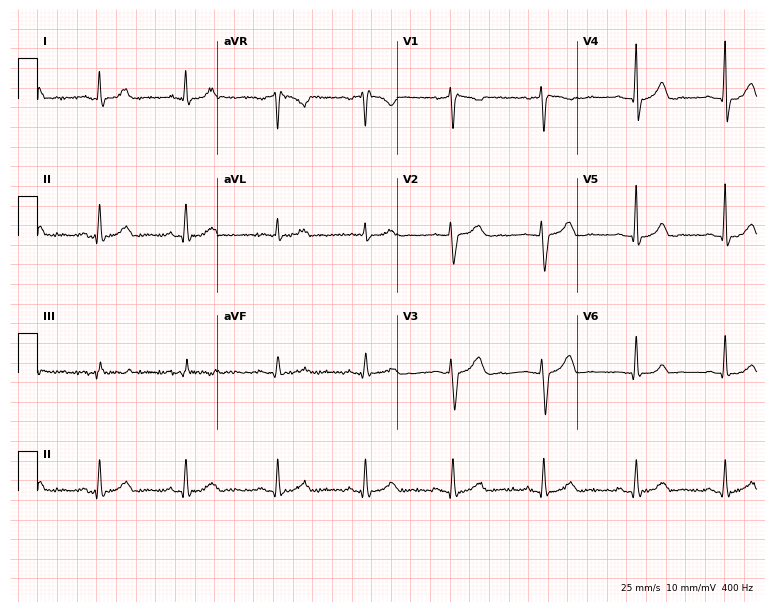
Standard 12-lead ECG recorded from a female patient, 41 years old (7.3-second recording at 400 Hz). Read as a normal ECG.